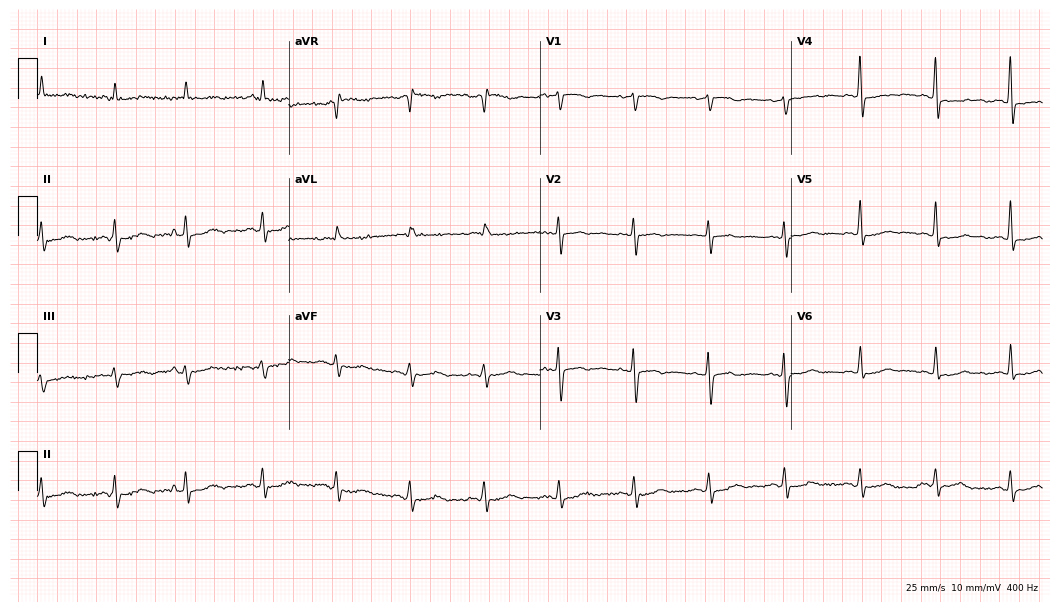
Resting 12-lead electrocardiogram. Patient: an 80-year-old female. None of these six findings is recorded: first-degree AV block, right bundle branch block, left bundle branch block, sinus bradycardia, atrial fibrillation, sinus tachycardia.